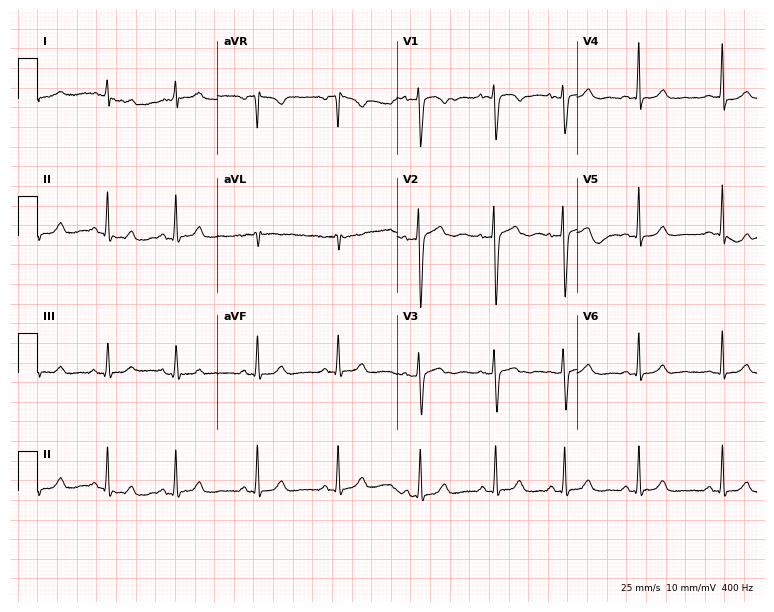
Resting 12-lead electrocardiogram (7.3-second recording at 400 Hz). Patient: a 28-year-old female. Read as a normal ECG.